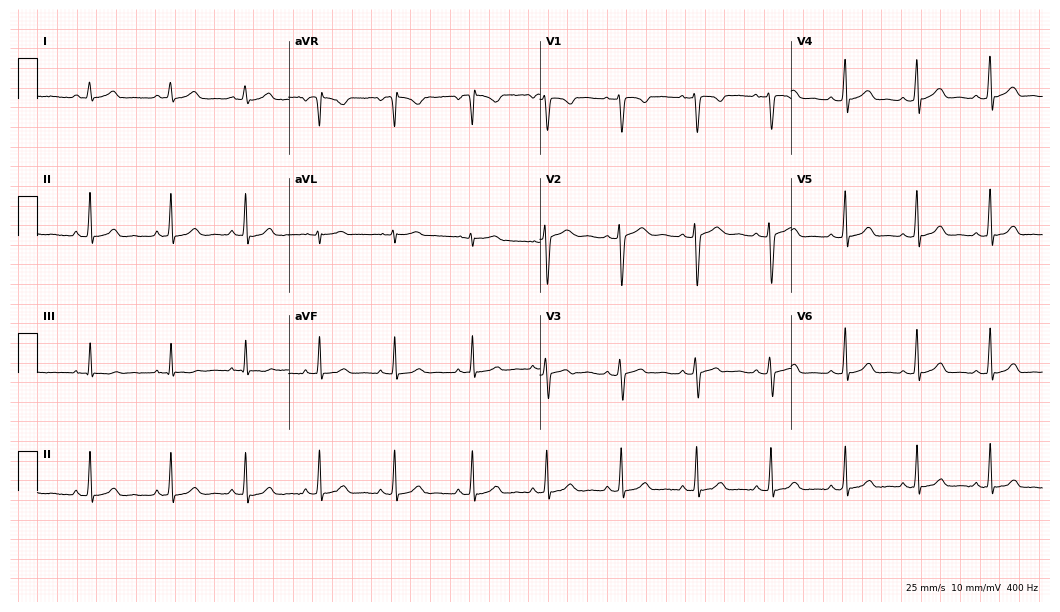
Electrocardiogram, a 77-year-old female. Of the six screened findings (first-degree AV block, right bundle branch block (RBBB), left bundle branch block (LBBB), sinus bradycardia, atrial fibrillation (AF), sinus tachycardia), none is recorded. Other findings, if any, are not listed.